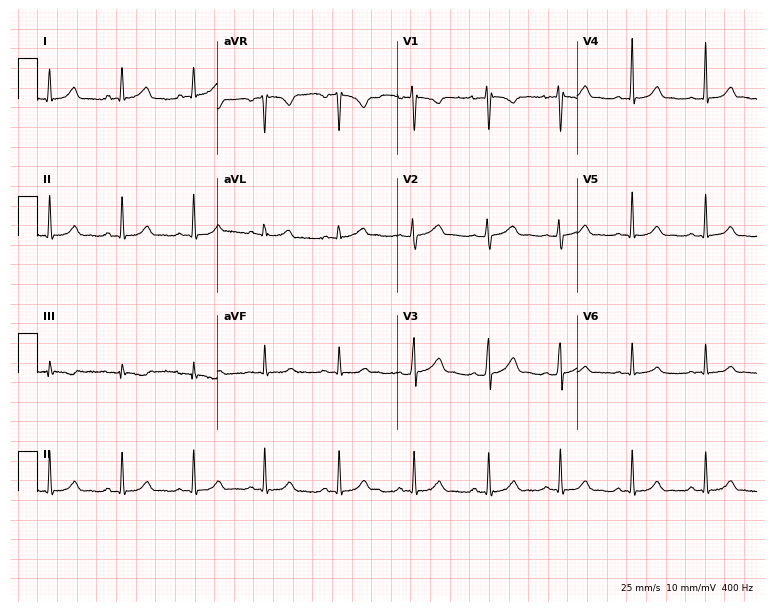
Standard 12-lead ECG recorded from a 23-year-old male (7.3-second recording at 400 Hz). Read as a normal ECG.